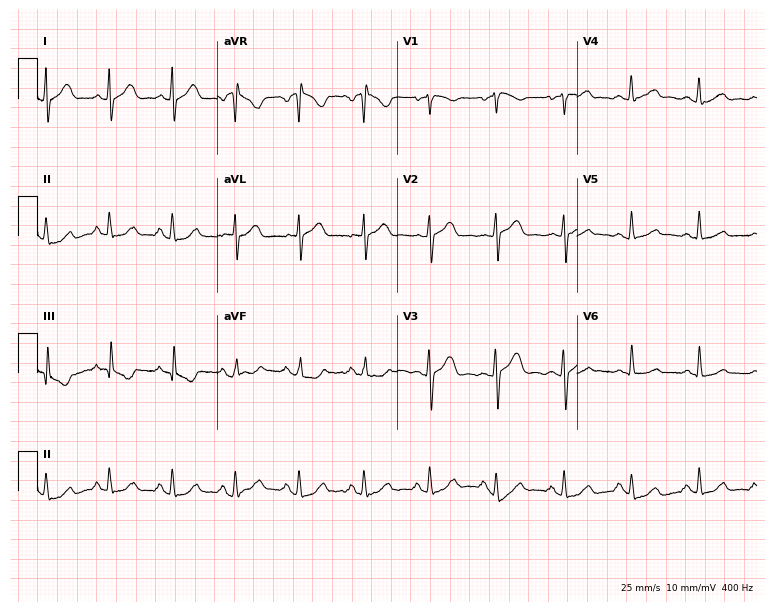
12-lead ECG from a male patient, 35 years old. Labelled as a normal ECG.